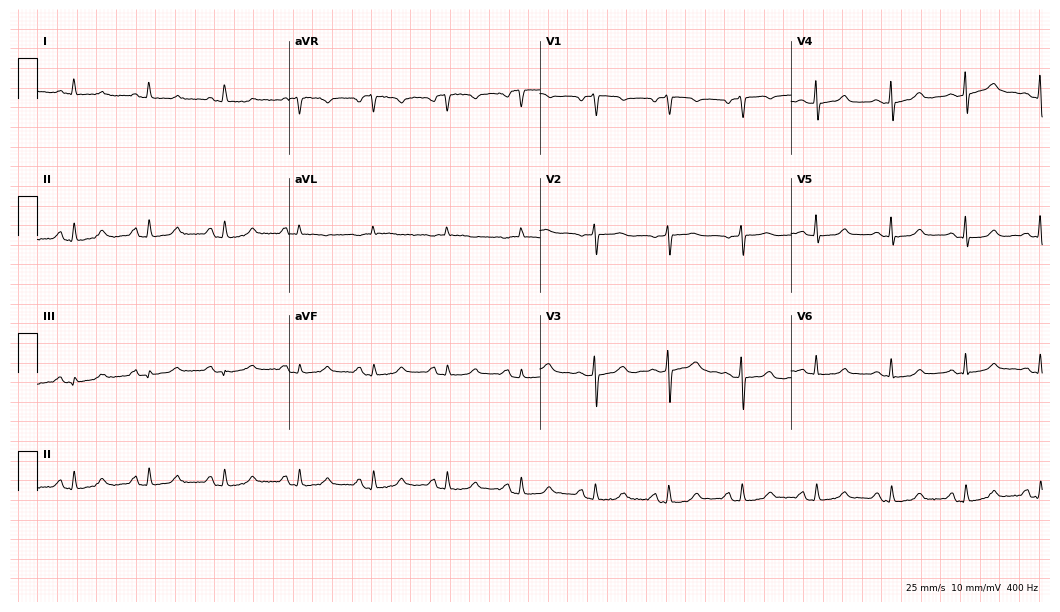
Electrocardiogram (10.2-second recording at 400 Hz), a woman, 70 years old. Of the six screened findings (first-degree AV block, right bundle branch block (RBBB), left bundle branch block (LBBB), sinus bradycardia, atrial fibrillation (AF), sinus tachycardia), none is recorded.